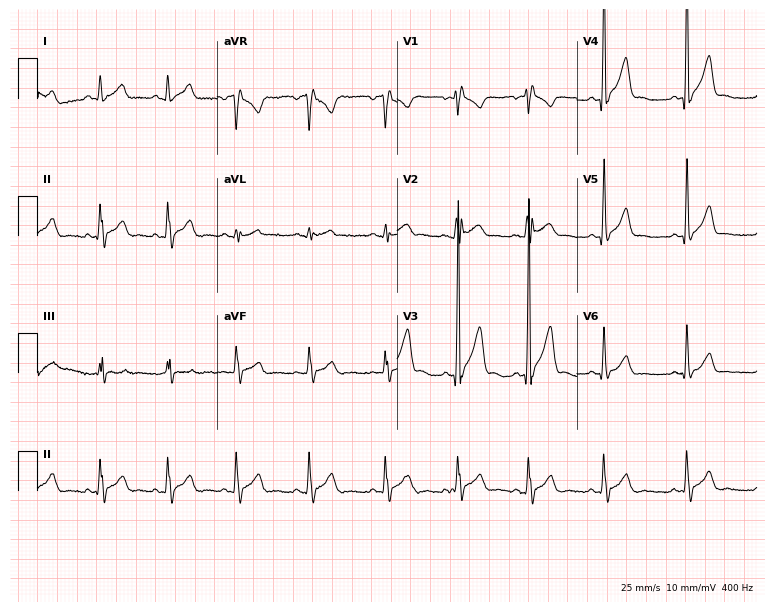
Standard 12-lead ECG recorded from an 18-year-old man. Read as a normal ECG.